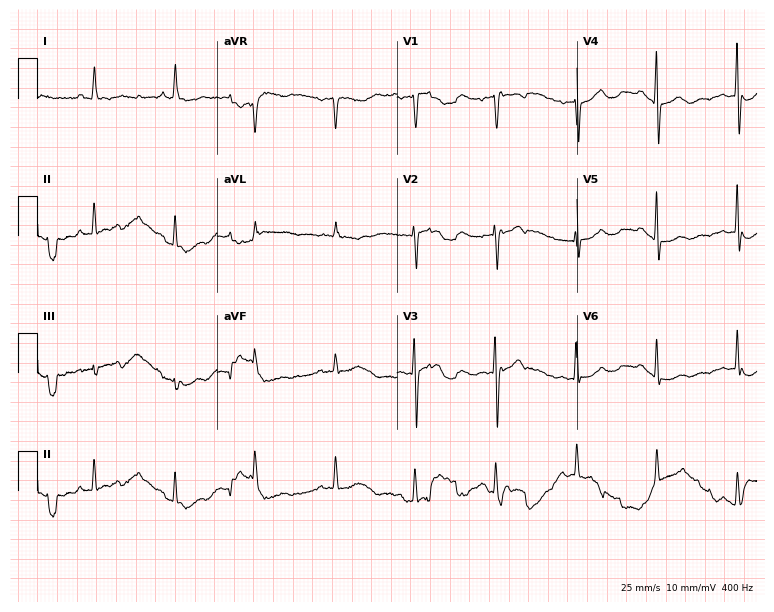
ECG (7.3-second recording at 400 Hz) — a 77-year-old female. Labelled as a normal ECG.